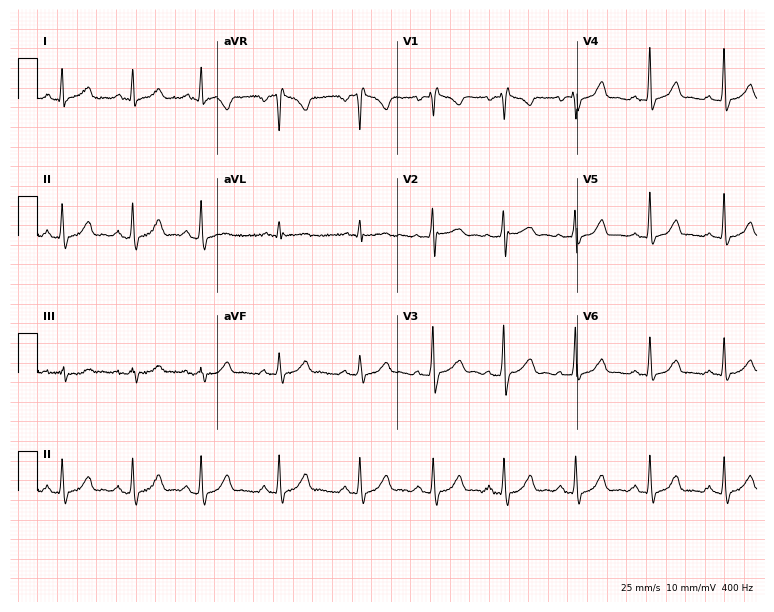
ECG (7.3-second recording at 400 Hz) — a female, 34 years old. Screened for six findings — first-degree AV block, right bundle branch block, left bundle branch block, sinus bradycardia, atrial fibrillation, sinus tachycardia — none is recorded.